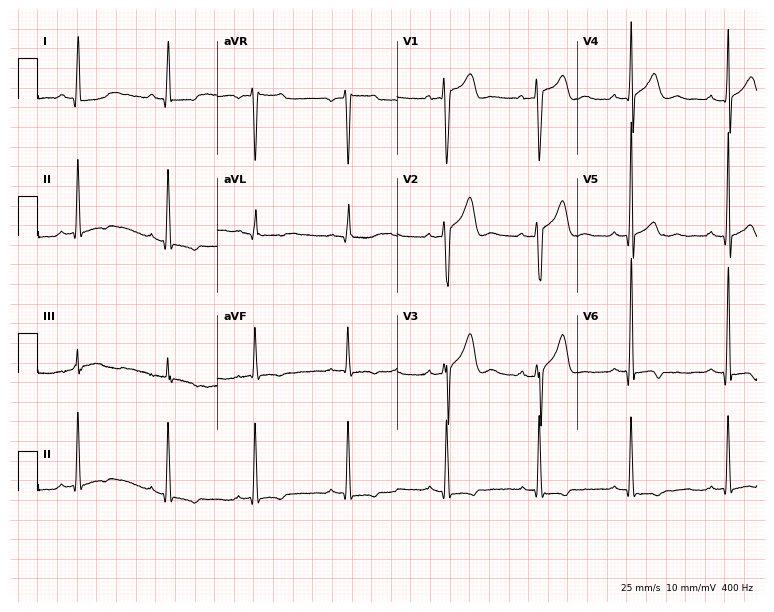
Standard 12-lead ECG recorded from a male, 30 years old. None of these six findings is recorded: first-degree AV block, right bundle branch block, left bundle branch block, sinus bradycardia, atrial fibrillation, sinus tachycardia. Findings outside these six are not listed.